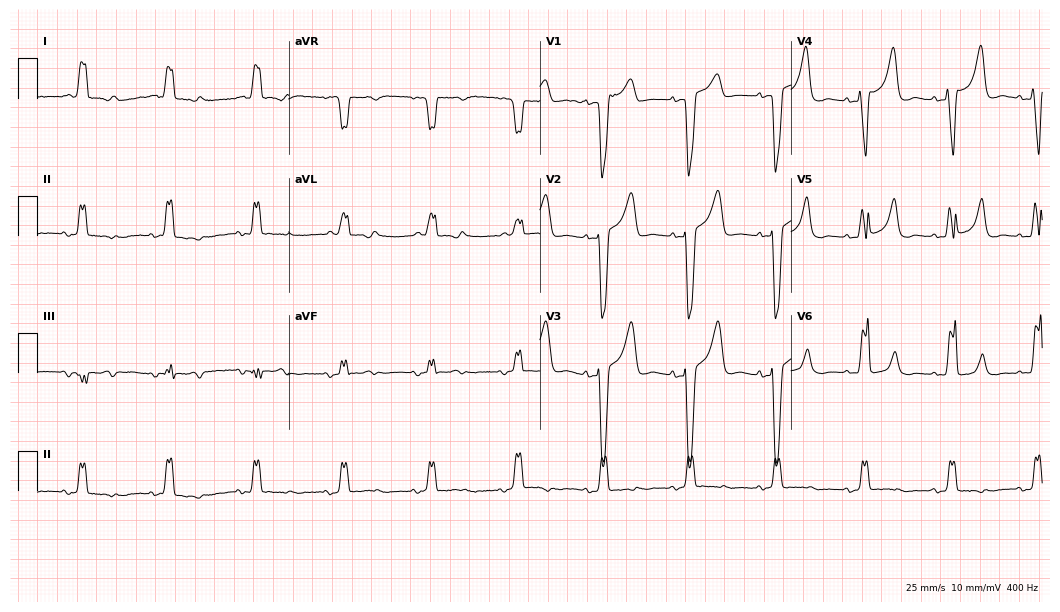
ECG — a female, 77 years old. Findings include left bundle branch block.